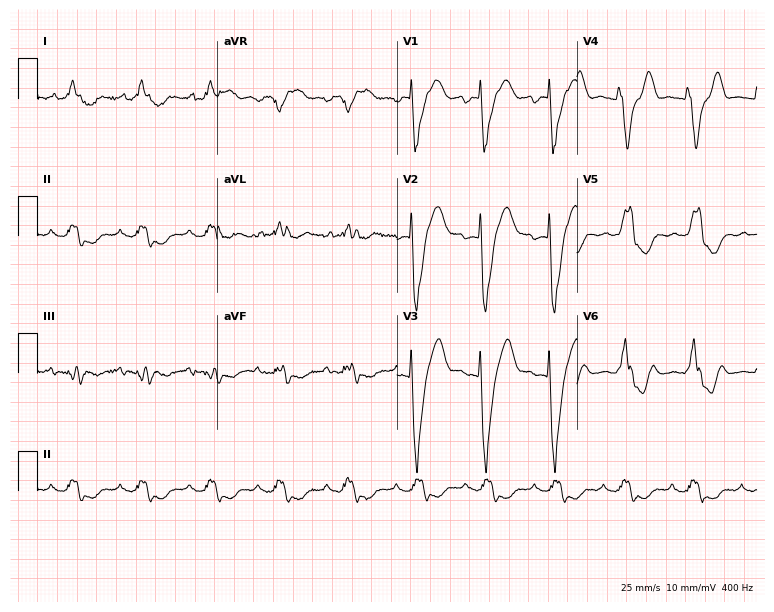
Resting 12-lead electrocardiogram (7.3-second recording at 400 Hz). Patient: a 75-year-old female. The tracing shows left bundle branch block (LBBB).